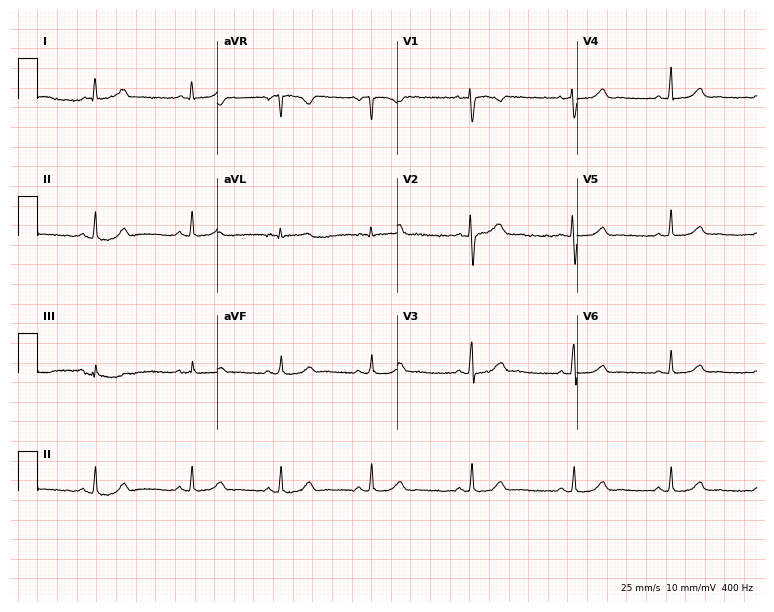
Electrocardiogram, a male, 55 years old. Overall reading on record: normal ECG.